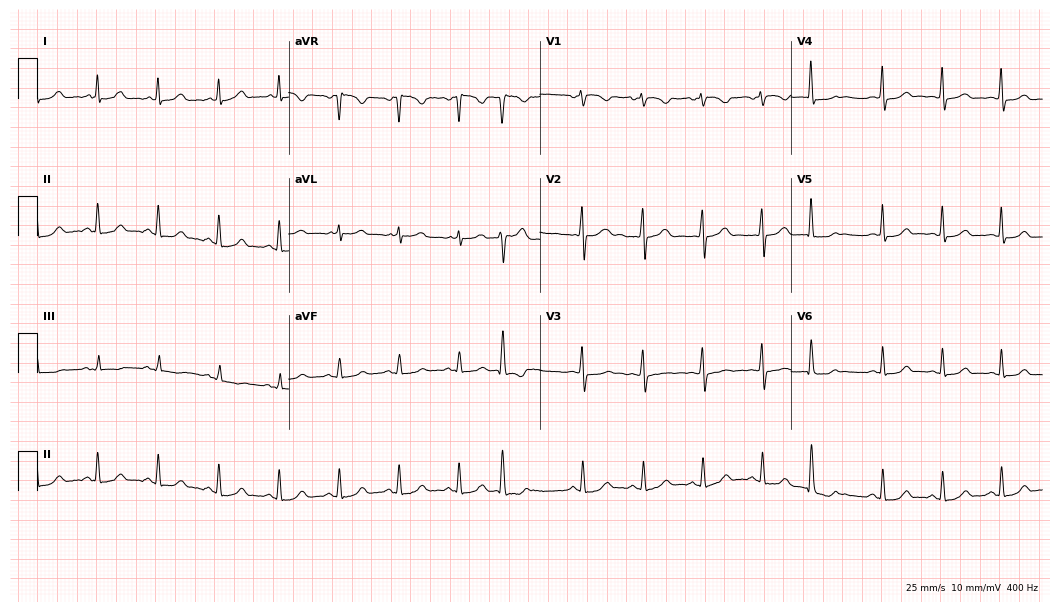
Standard 12-lead ECG recorded from a 47-year-old female. None of these six findings is recorded: first-degree AV block, right bundle branch block (RBBB), left bundle branch block (LBBB), sinus bradycardia, atrial fibrillation (AF), sinus tachycardia.